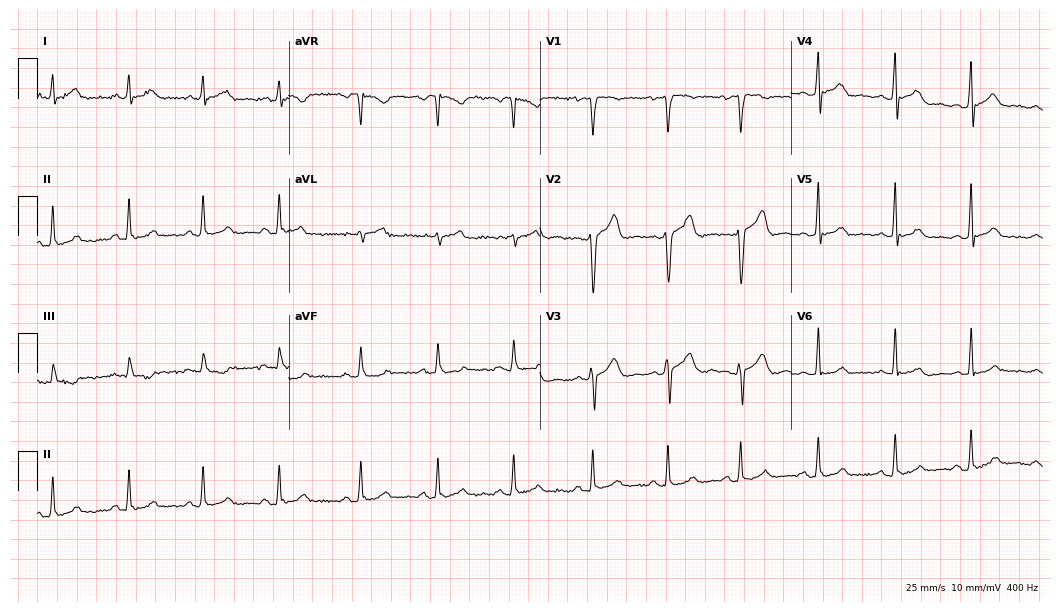
Resting 12-lead electrocardiogram (10.2-second recording at 400 Hz). Patient: a 24-year-old male. Read as a normal ECG.